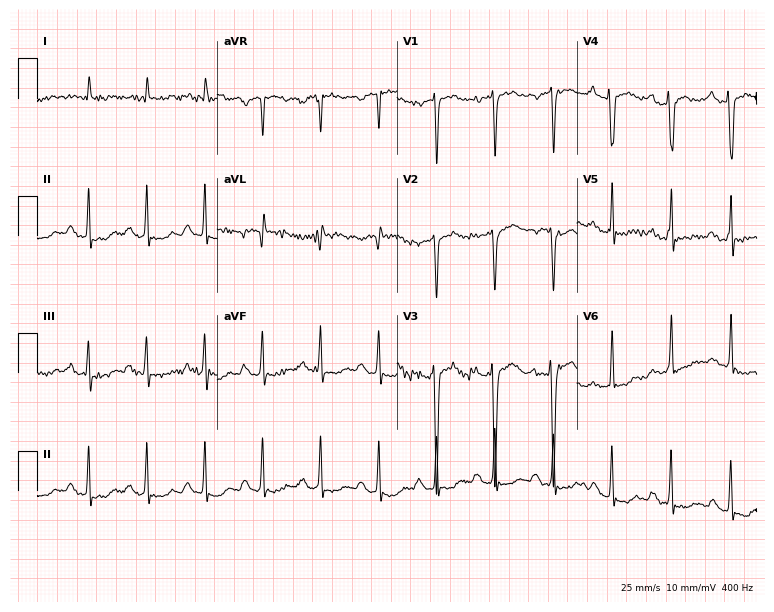
Resting 12-lead electrocardiogram (7.3-second recording at 400 Hz). Patient: a male, 74 years old. The tracing shows first-degree AV block.